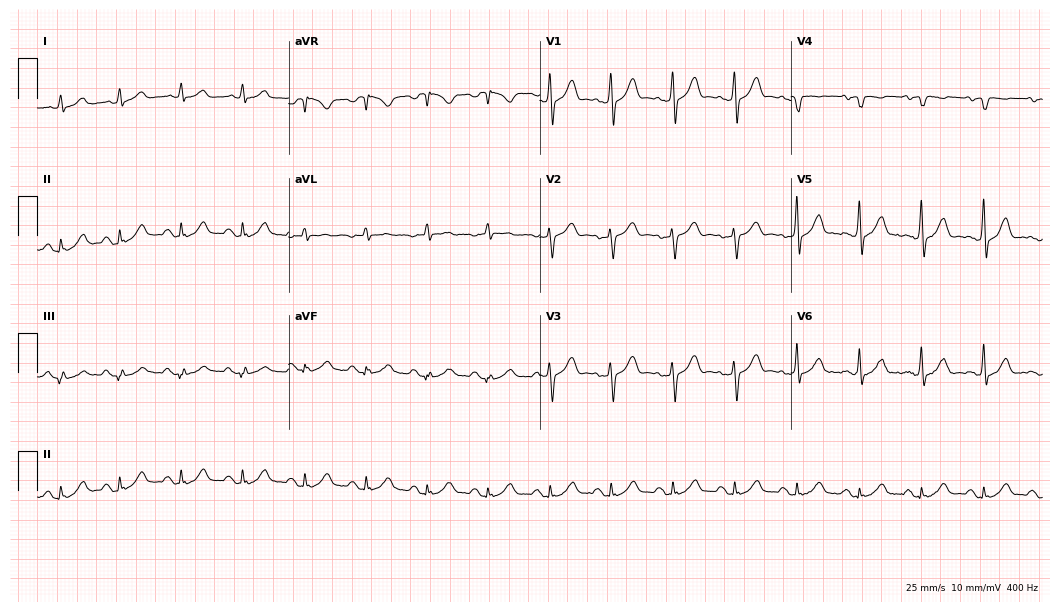
Standard 12-lead ECG recorded from a male, 64 years old. None of these six findings is recorded: first-degree AV block, right bundle branch block, left bundle branch block, sinus bradycardia, atrial fibrillation, sinus tachycardia.